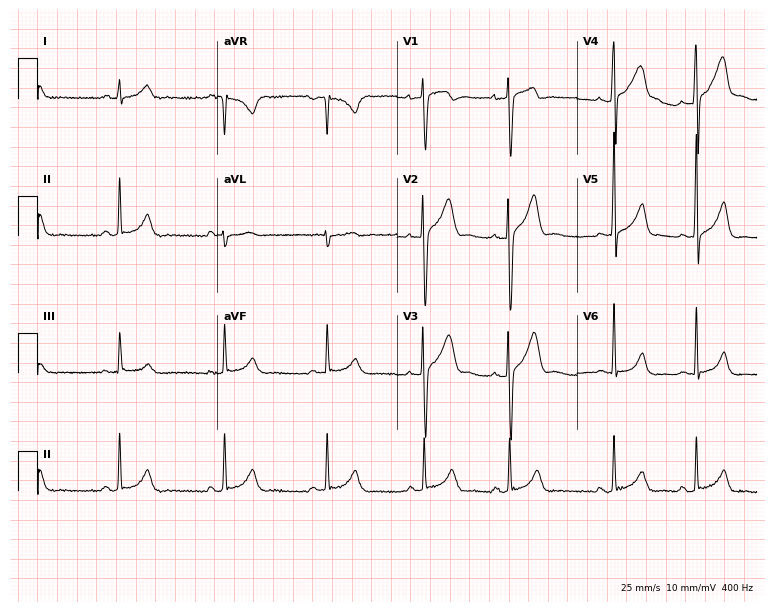
Standard 12-lead ECG recorded from a 24-year-old man (7.3-second recording at 400 Hz). Read as a normal ECG.